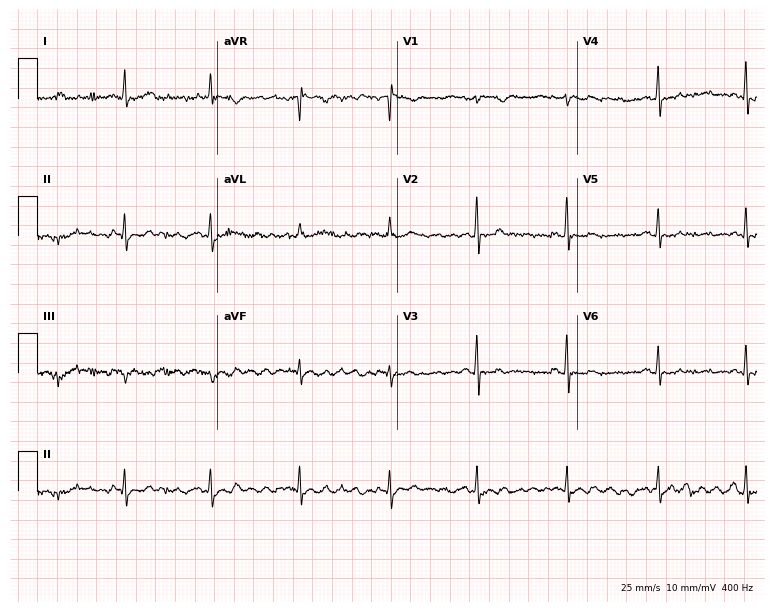
Standard 12-lead ECG recorded from a 67-year-old female (7.3-second recording at 400 Hz). None of these six findings is recorded: first-degree AV block, right bundle branch block, left bundle branch block, sinus bradycardia, atrial fibrillation, sinus tachycardia. Only these six findings were labelled.